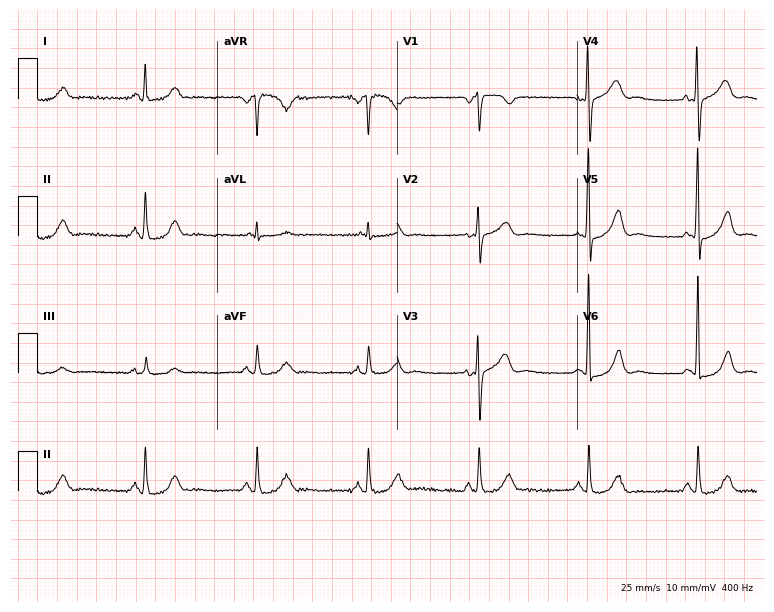
Electrocardiogram (7.3-second recording at 400 Hz), a 63-year-old woman. Overall reading on record: normal ECG.